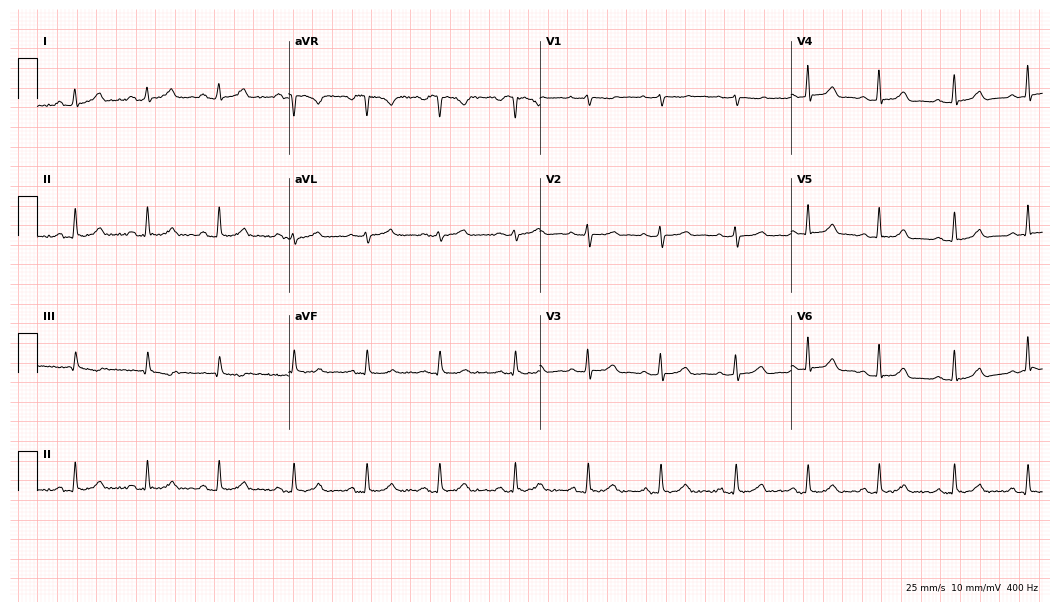
Electrocardiogram (10.2-second recording at 400 Hz), a female patient, 33 years old. Overall reading on record: normal ECG.